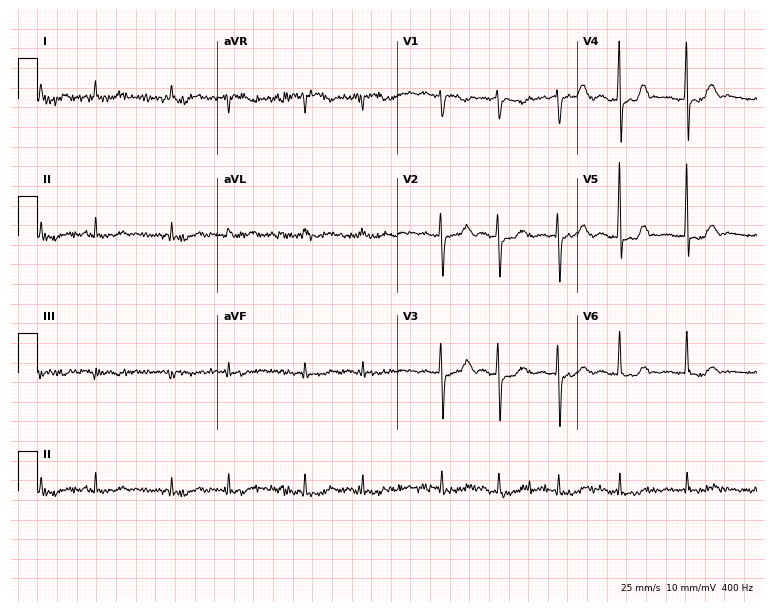
12-lead ECG (7.3-second recording at 400 Hz) from a male patient, 84 years old. Screened for six findings — first-degree AV block, right bundle branch block, left bundle branch block, sinus bradycardia, atrial fibrillation, sinus tachycardia — none is recorded. Only these six findings were labelled.